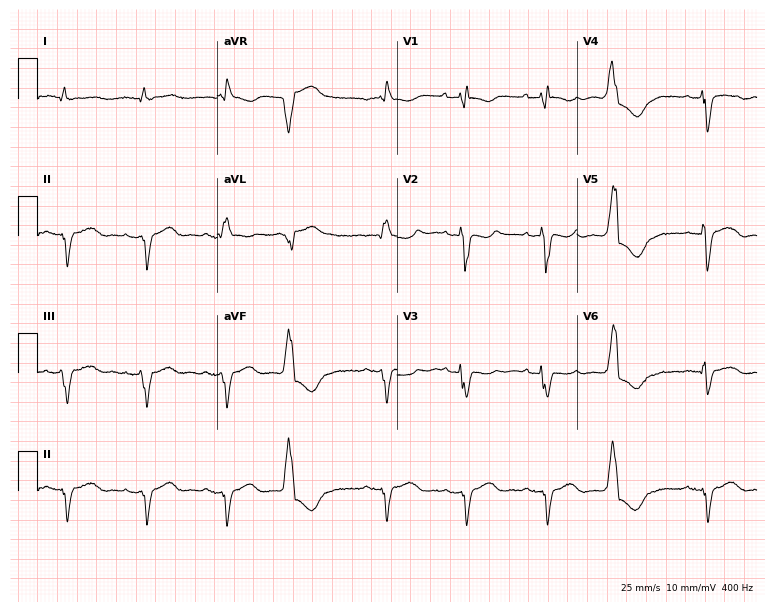
Standard 12-lead ECG recorded from a woman, 84 years old (7.3-second recording at 400 Hz). The tracing shows right bundle branch block.